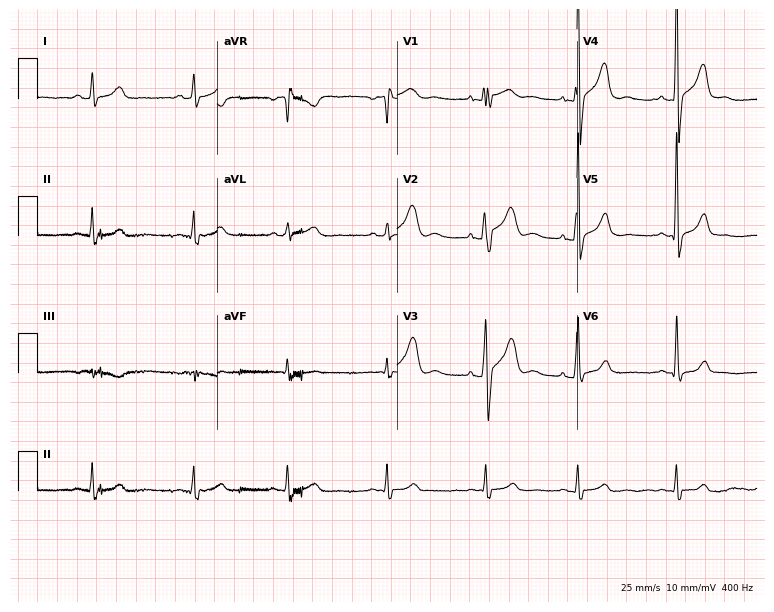
Resting 12-lead electrocardiogram. Patient: a 41-year-old male. None of these six findings is recorded: first-degree AV block, right bundle branch block, left bundle branch block, sinus bradycardia, atrial fibrillation, sinus tachycardia. Other findings, if any, are not listed.